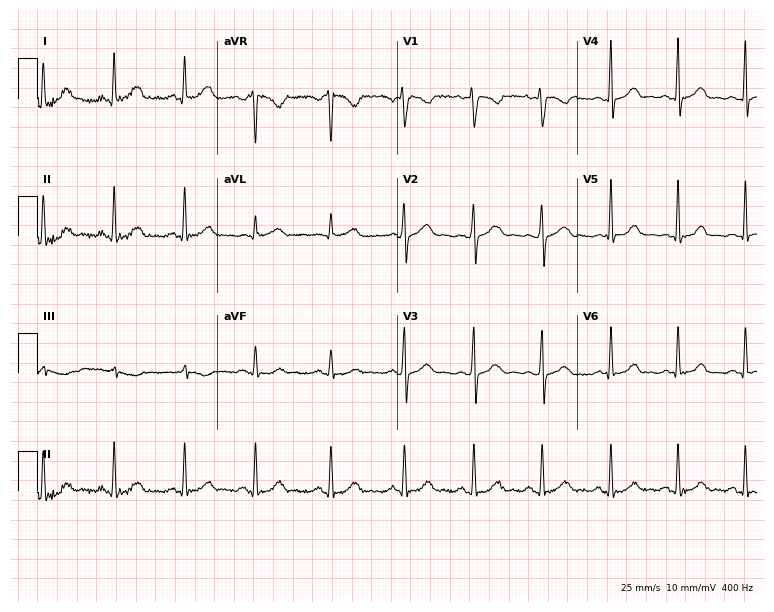
Standard 12-lead ECG recorded from a female patient, 18 years old (7.3-second recording at 400 Hz). None of these six findings is recorded: first-degree AV block, right bundle branch block, left bundle branch block, sinus bradycardia, atrial fibrillation, sinus tachycardia.